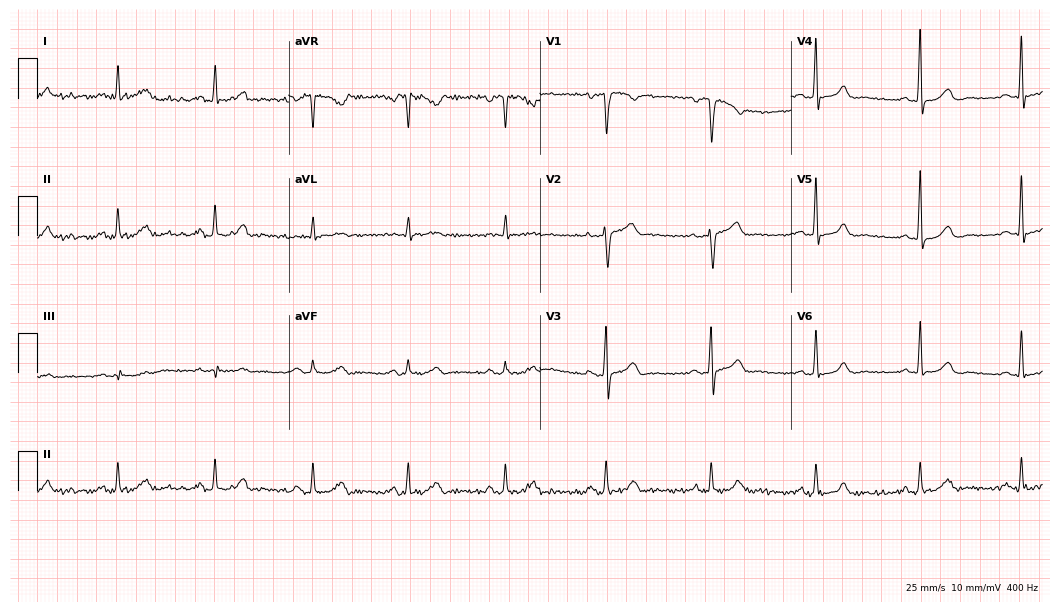
ECG (10.2-second recording at 400 Hz) — a man, 63 years old. Labelled as a normal ECG.